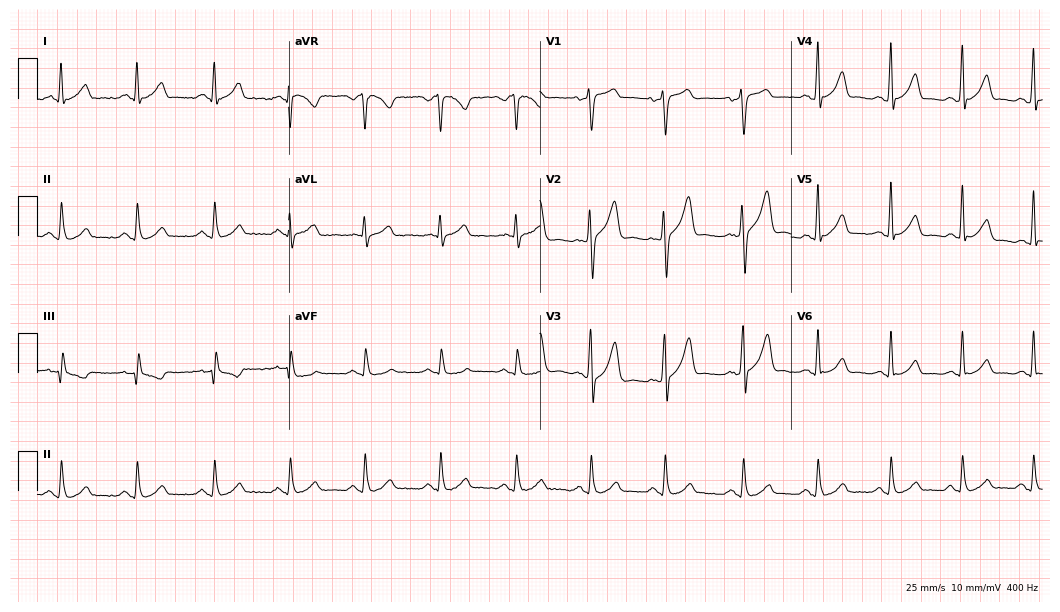
Standard 12-lead ECG recorded from a male patient, 36 years old (10.2-second recording at 400 Hz). Read as a normal ECG.